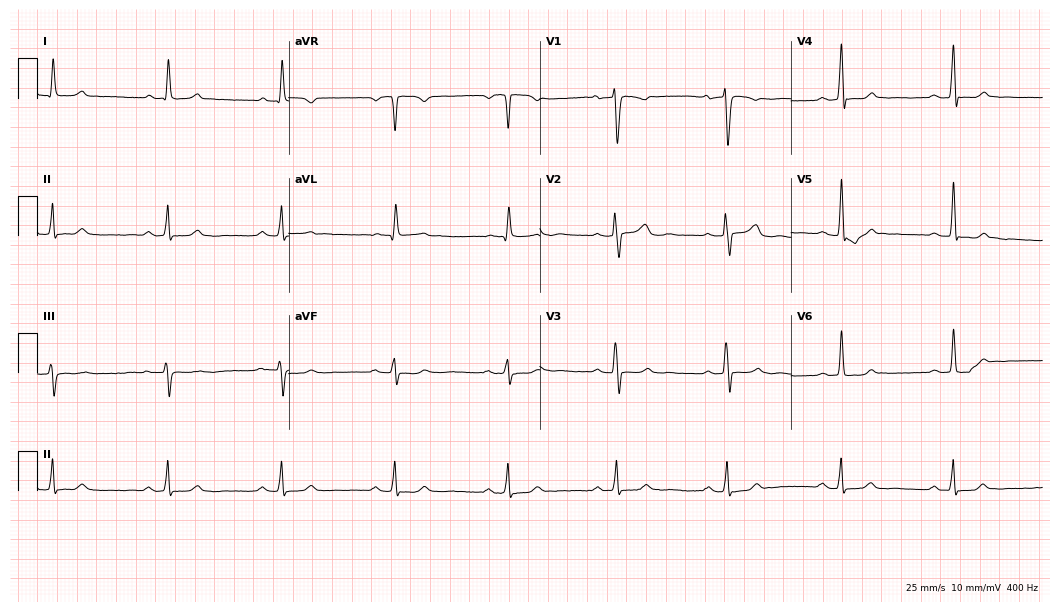
ECG — a 54-year-old female. Screened for six findings — first-degree AV block, right bundle branch block, left bundle branch block, sinus bradycardia, atrial fibrillation, sinus tachycardia — none is recorded. Findings outside these six are not listed.